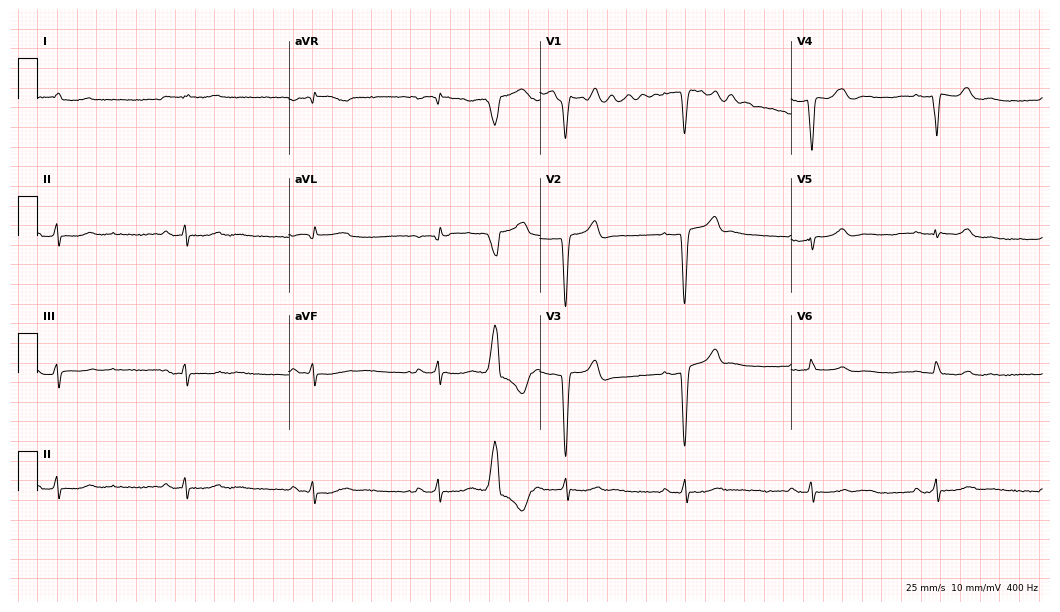
Standard 12-lead ECG recorded from a 71-year-old man. The tracing shows sinus bradycardia (a sinus rate of 50 beats per minute or less).